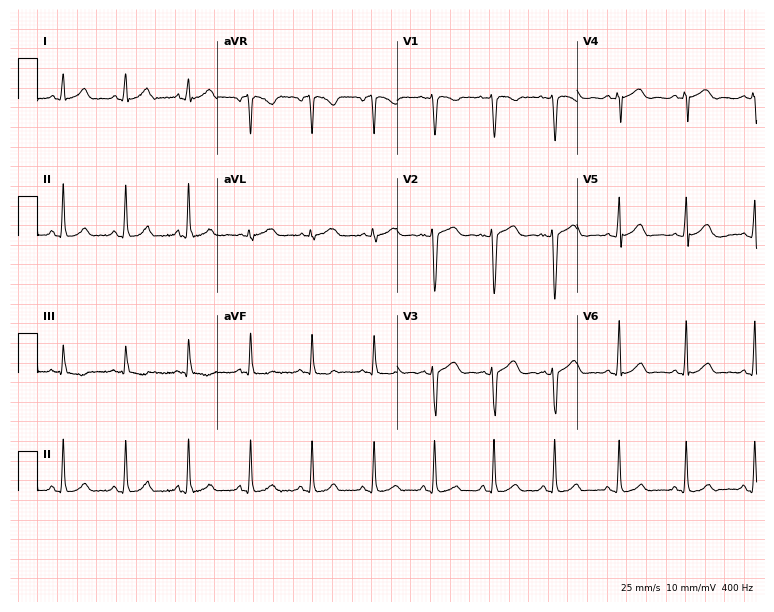
Electrocardiogram, a 26-year-old female patient. Of the six screened findings (first-degree AV block, right bundle branch block (RBBB), left bundle branch block (LBBB), sinus bradycardia, atrial fibrillation (AF), sinus tachycardia), none is recorded.